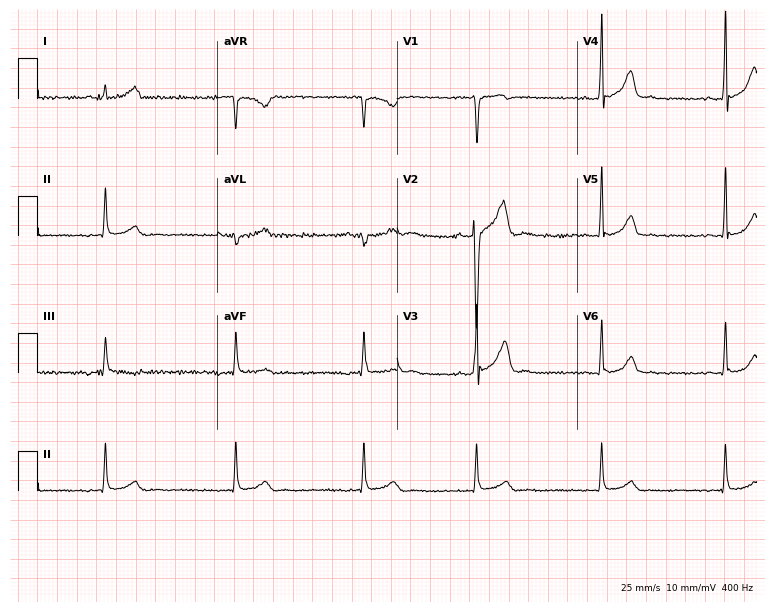
ECG — a male patient, 28 years old. Screened for six findings — first-degree AV block, right bundle branch block (RBBB), left bundle branch block (LBBB), sinus bradycardia, atrial fibrillation (AF), sinus tachycardia — none is recorded. Only these six findings were labelled.